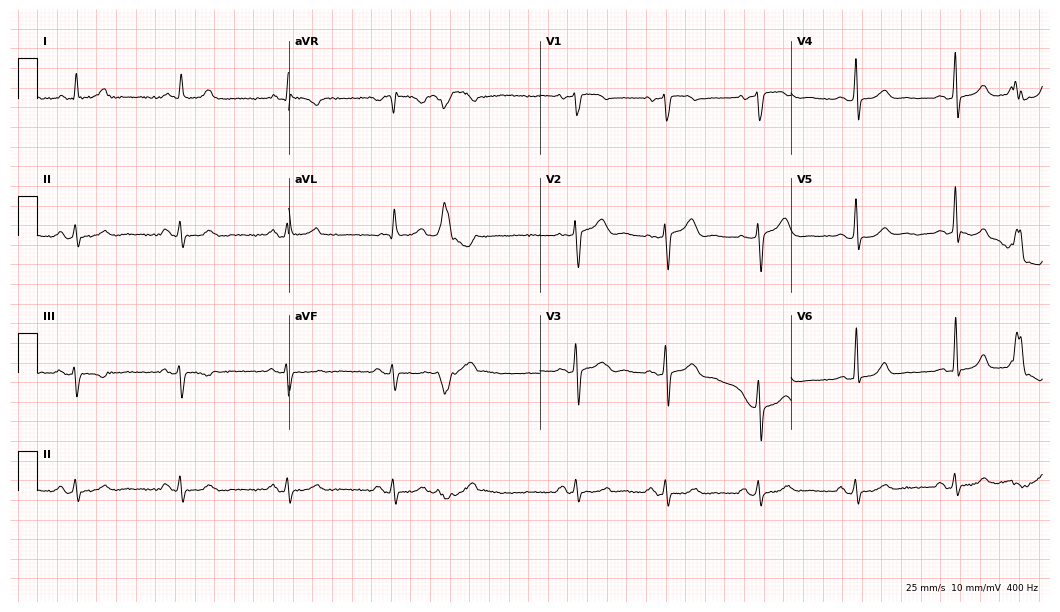
Standard 12-lead ECG recorded from a male, 71 years old (10.2-second recording at 400 Hz). Read as a normal ECG.